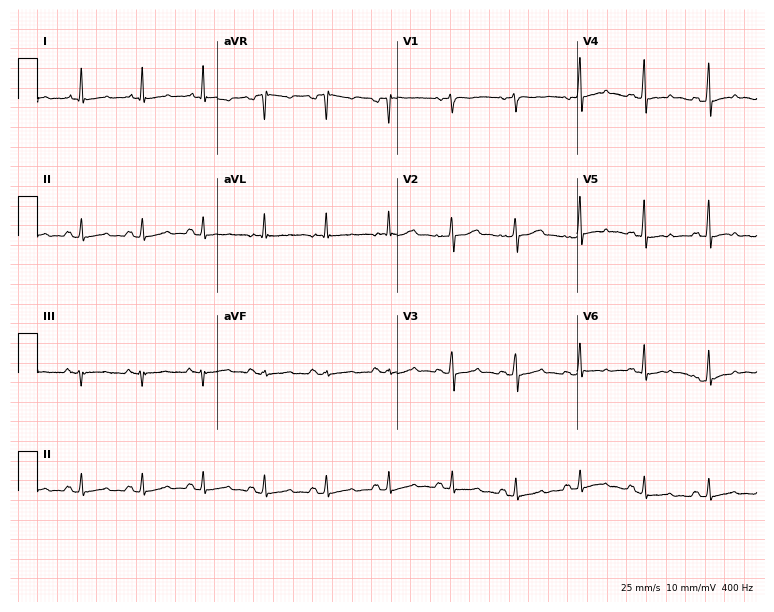
Electrocardiogram, a male, 60 years old. Overall reading on record: normal ECG.